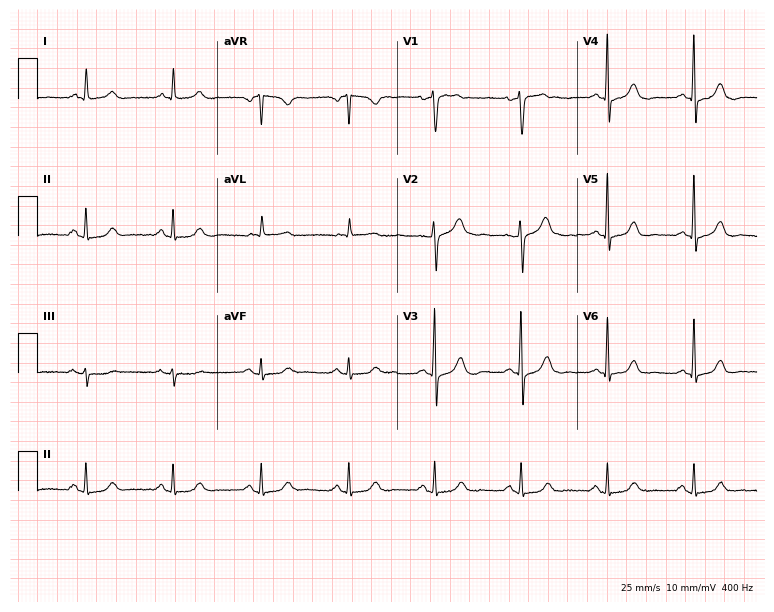
Standard 12-lead ECG recorded from a female patient, 70 years old. None of these six findings is recorded: first-degree AV block, right bundle branch block, left bundle branch block, sinus bradycardia, atrial fibrillation, sinus tachycardia.